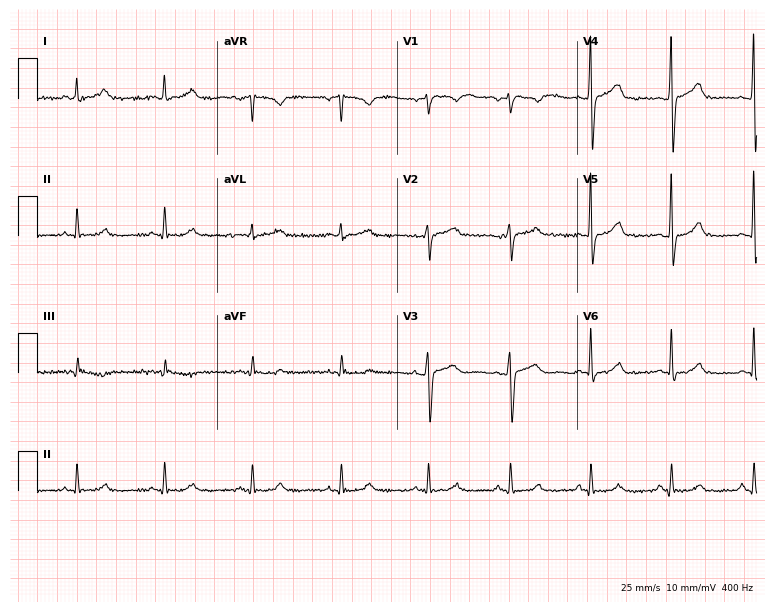
12-lead ECG from a female, 50 years old. Labelled as a normal ECG.